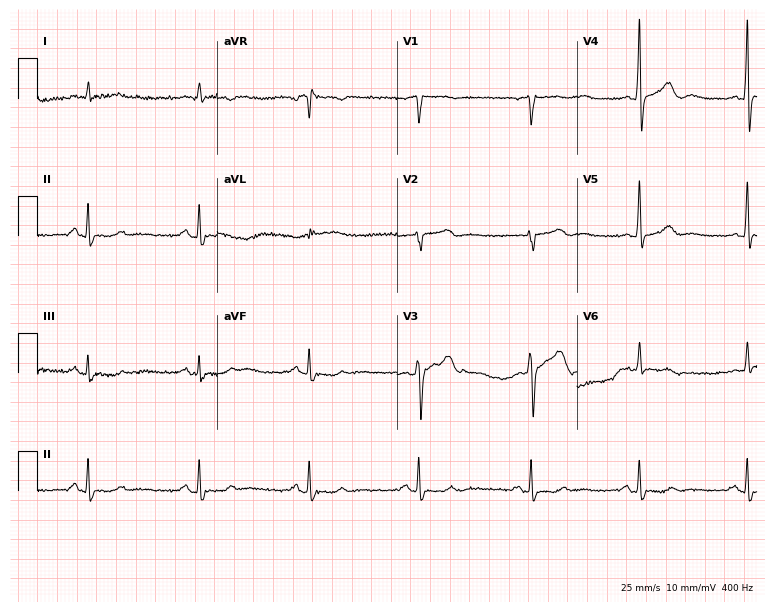
Electrocardiogram (7.3-second recording at 400 Hz), an 81-year-old male. Of the six screened findings (first-degree AV block, right bundle branch block, left bundle branch block, sinus bradycardia, atrial fibrillation, sinus tachycardia), none is recorded.